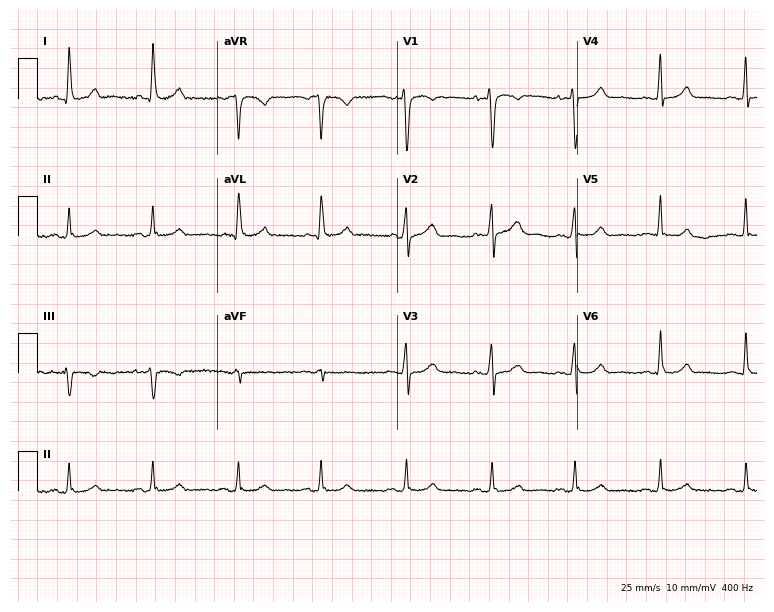
Electrocardiogram, a female patient, 58 years old. Overall reading on record: normal ECG.